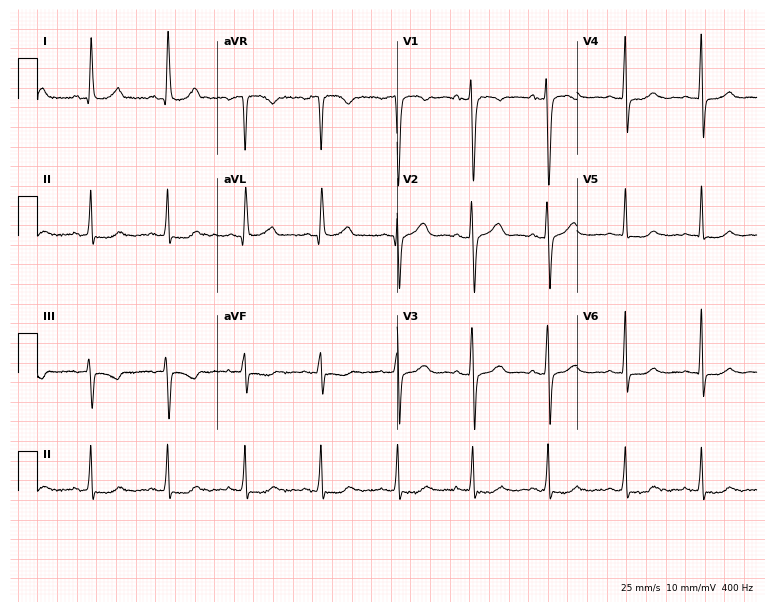
12-lead ECG from a 53-year-old woman (7.3-second recording at 400 Hz). No first-degree AV block, right bundle branch block, left bundle branch block, sinus bradycardia, atrial fibrillation or sinus tachycardia recorded for this tracing.